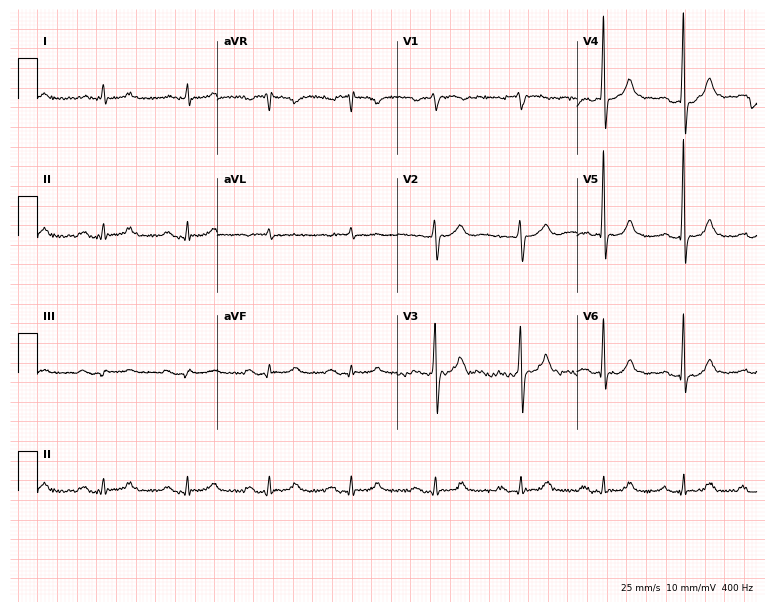
12-lead ECG from a 72-year-old male patient (7.3-second recording at 400 Hz). No first-degree AV block, right bundle branch block, left bundle branch block, sinus bradycardia, atrial fibrillation or sinus tachycardia recorded for this tracing. Findings outside these six are not listed.